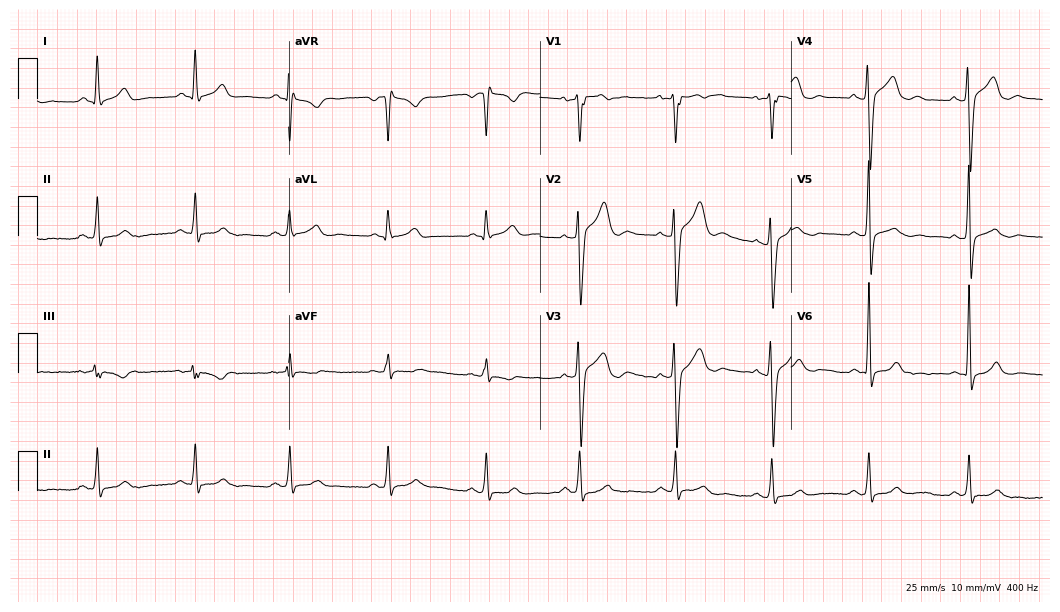
Electrocardiogram (10.2-second recording at 400 Hz), a man, 27 years old. Of the six screened findings (first-degree AV block, right bundle branch block, left bundle branch block, sinus bradycardia, atrial fibrillation, sinus tachycardia), none is recorded. Other findings, if any, are not listed.